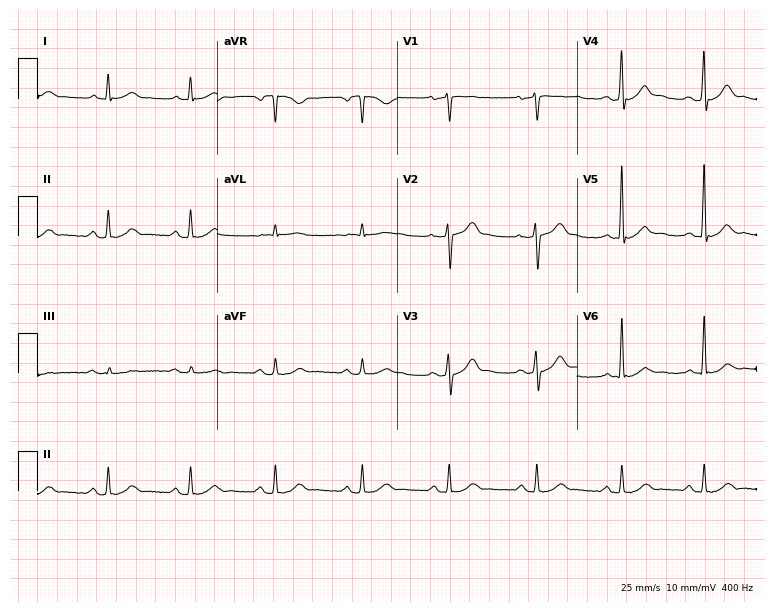
Standard 12-lead ECG recorded from a 51-year-old male. None of these six findings is recorded: first-degree AV block, right bundle branch block, left bundle branch block, sinus bradycardia, atrial fibrillation, sinus tachycardia.